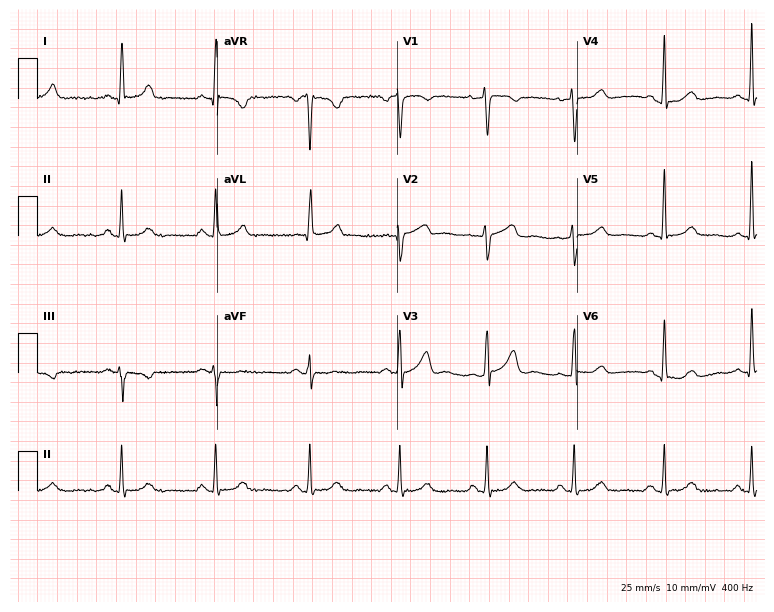
Resting 12-lead electrocardiogram. Patient: a female, 48 years old. Read as a normal ECG.